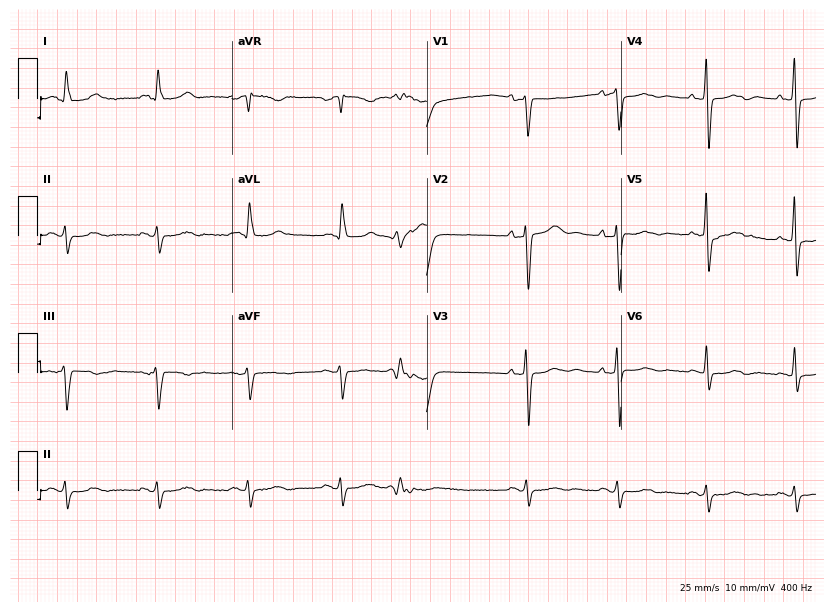
ECG — a male, 77 years old. Screened for six findings — first-degree AV block, right bundle branch block (RBBB), left bundle branch block (LBBB), sinus bradycardia, atrial fibrillation (AF), sinus tachycardia — none is recorded.